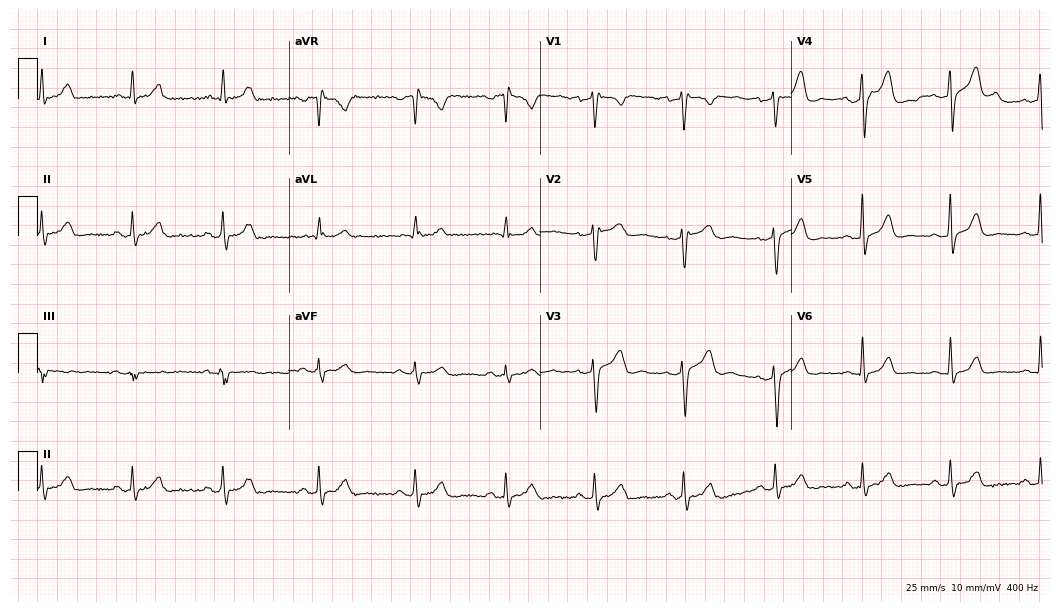
12-lead ECG from a 31-year-old male patient. Recorded interpretation: within normal limits.